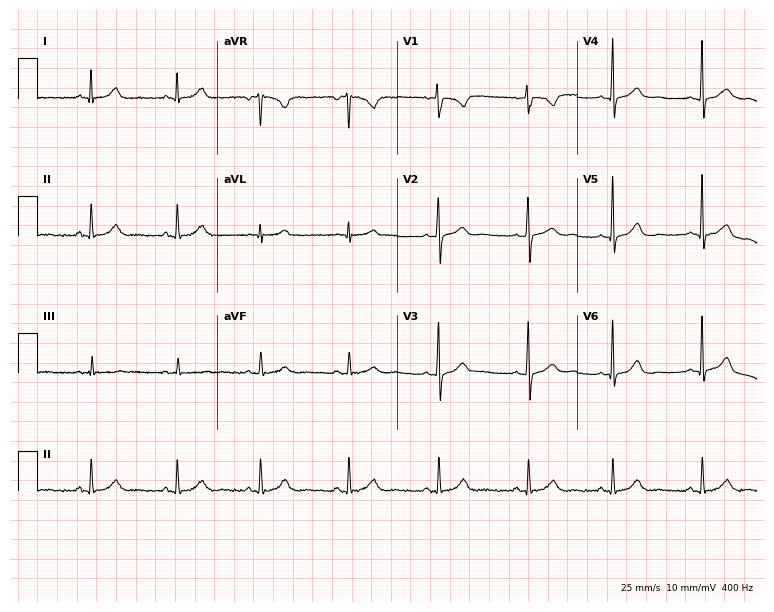
Electrocardiogram (7.3-second recording at 400 Hz), a woman, 35 years old. Overall reading on record: normal ECG.